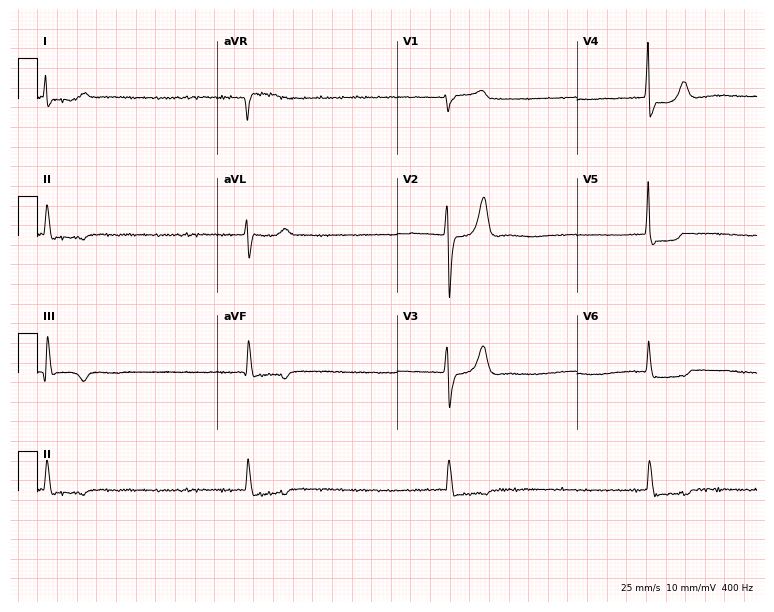
Standard 12-lead ECG recorded from a 75-year-old male (7.3-second recording at 400 Hz). None of these six findings is recorded: first-degree AV block, right bundle branch block, left bundle branch block, sinus bradycardia, atrial fibrillation, sinus tachycardia. Findings outside these six are not listed.